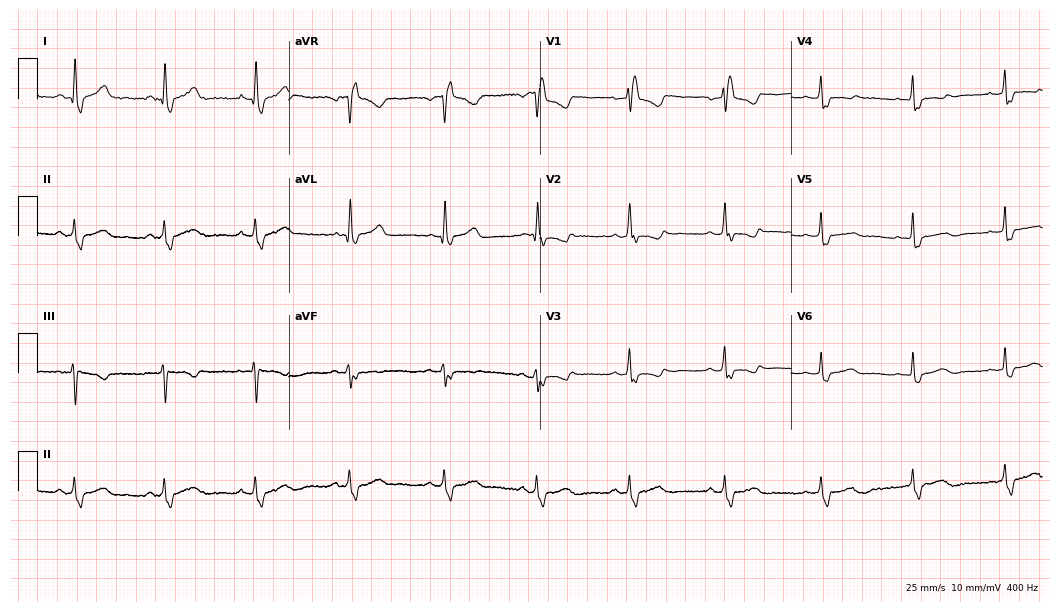
ECG — a 42-year-old female. Screened for six findings — first-degree AV block, right bundle branch block, left bundle branch block, sinus bradycardia, atrial fibrillation, sinus tachycardia — none is recorded. Other findings, if any, are not listed.